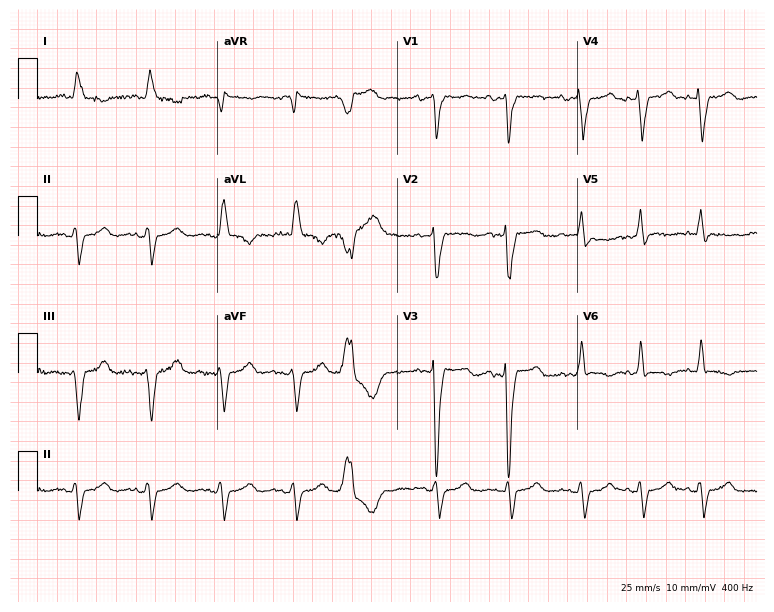
12-lead ECG (7.3-second recording at 400 Hz) from a 72-year-old woman. Findings include left bundle branch block, atrial fibrillation.